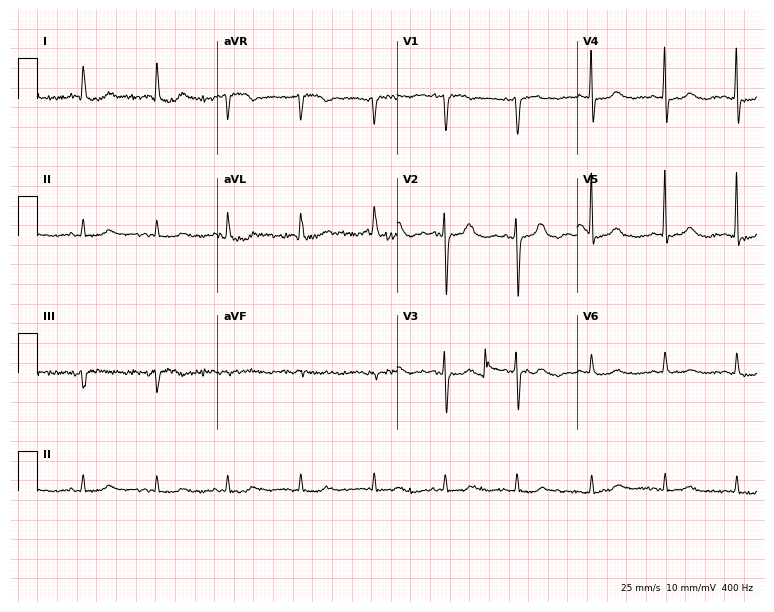
Electrocardiogram, an 84-year-old female. Of the six screened findings (first-degree AV block, right bundle branch block, left bundle branch block, sinus bradycardia, atrial fibrillation, sinus tachycardia), none is recorded. Other findings, if any, are not listed.